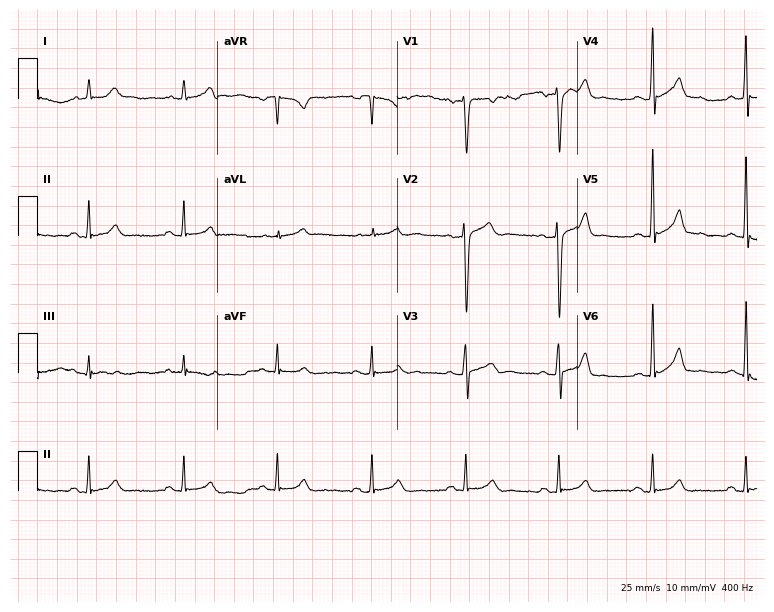
Standard 12-lead ECG recorded from a male patient, 35 years old. None of these six findings is recorded: first-degree AV block, right bundle branch block, left bundle branch block, sinus bradycardia, atrial fibrillation, sinus tachycardia. Only these six findings were labelled.